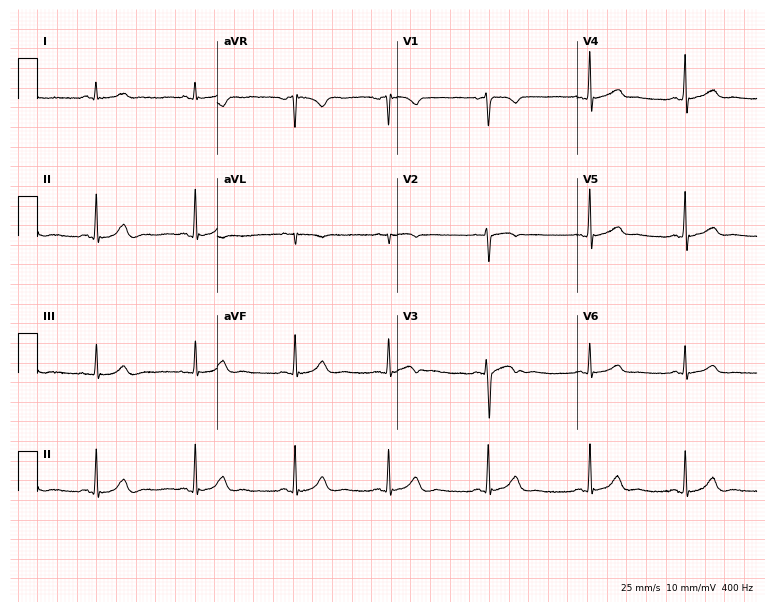
12-lead ECG from a 19-year-old female. Recorded interpretation: within normal limits.